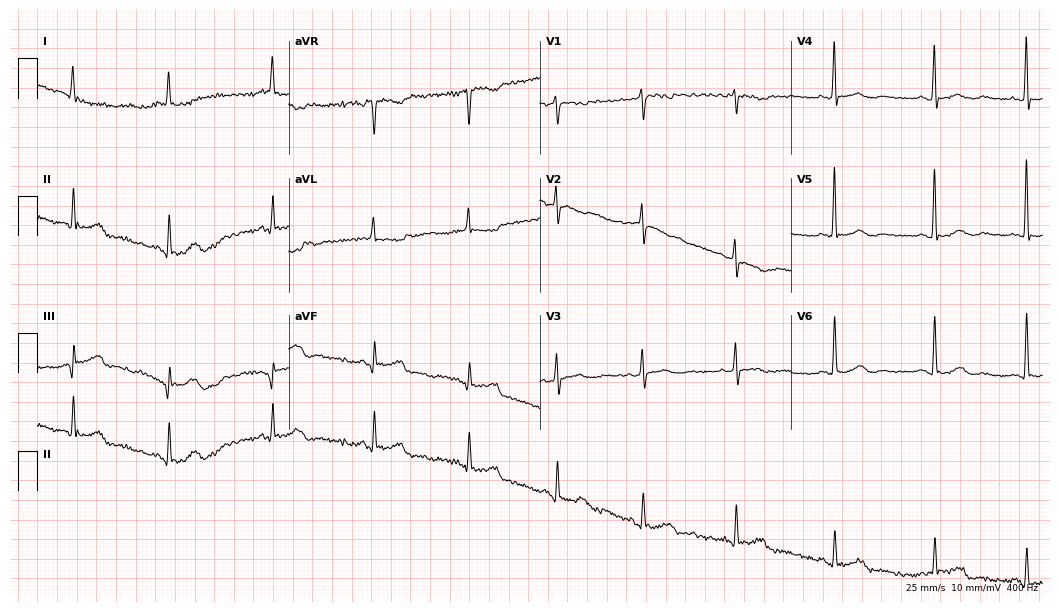
12-lead ECG from a 61-year-old female. No first-degree AV block, right bundle branch block, left bundle branch block, sinus bradycardia, atrial fibrillation or sinus tachycardia recorded for this tracing.